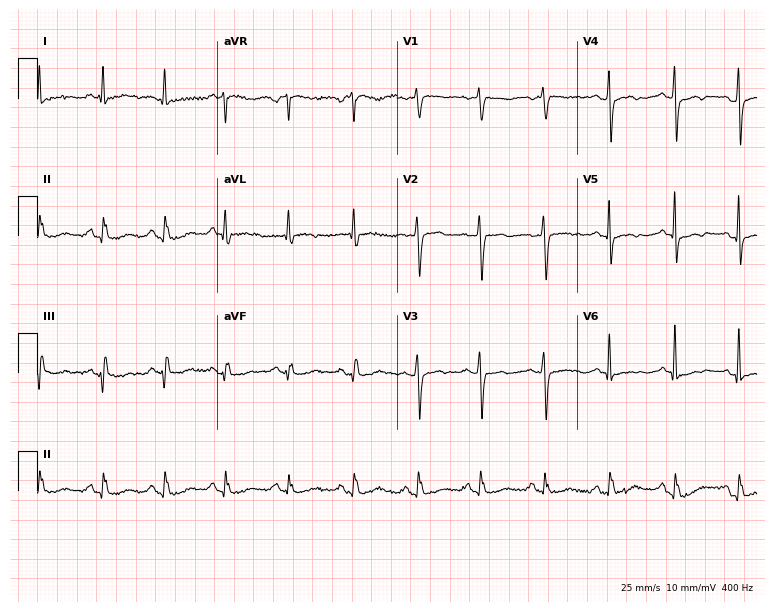
Resting 12-lead electrocardiogram (7.3-second recording at 400 Hz). Patient: a 65-year-old female. Read as a normal ECG.